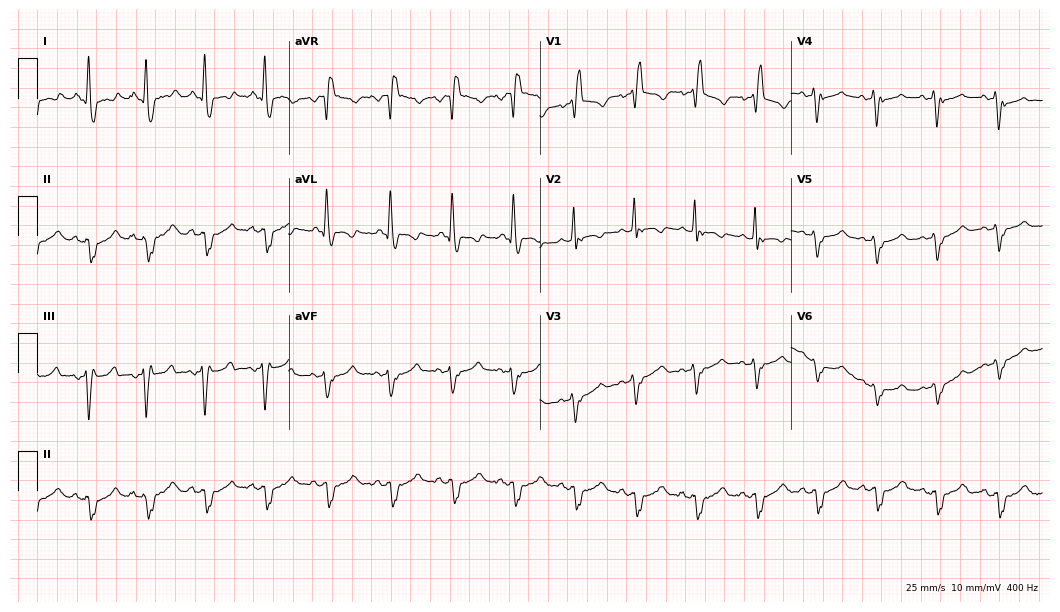
Electrocardiogram (10.2-second recording at 400 Hz), a 65-year-old woman. Interpretation includes right bundle branch block.